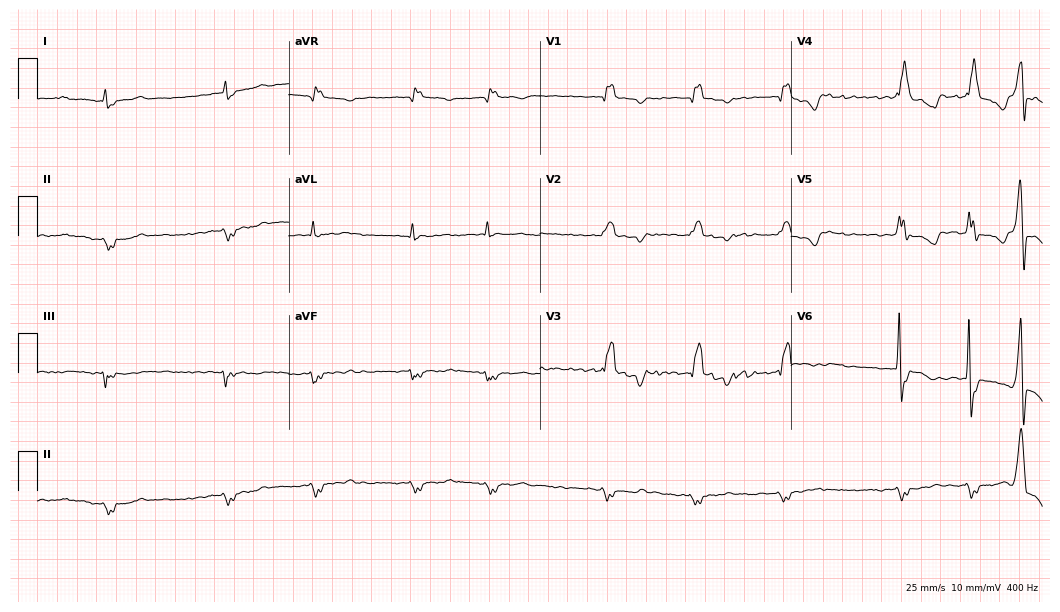
Resting 12-lead electrocardiogram. Patient: a 79-year-old female. The tracing shows right bundle branch block, atrial fibrillation.